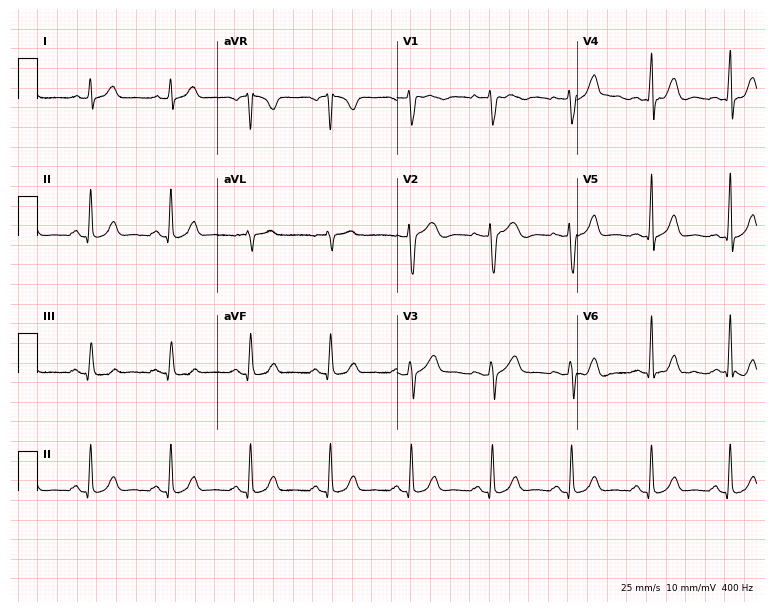
Electrocardiogram, a 36-year-old woman. Of the six screened findings (first-degree AV block, right bundle branch block (RBBB), left bundle branch block (LBBB), sinus bradycardia, atrial fibrillation (AF), sinus tachycardia), none is recorded.